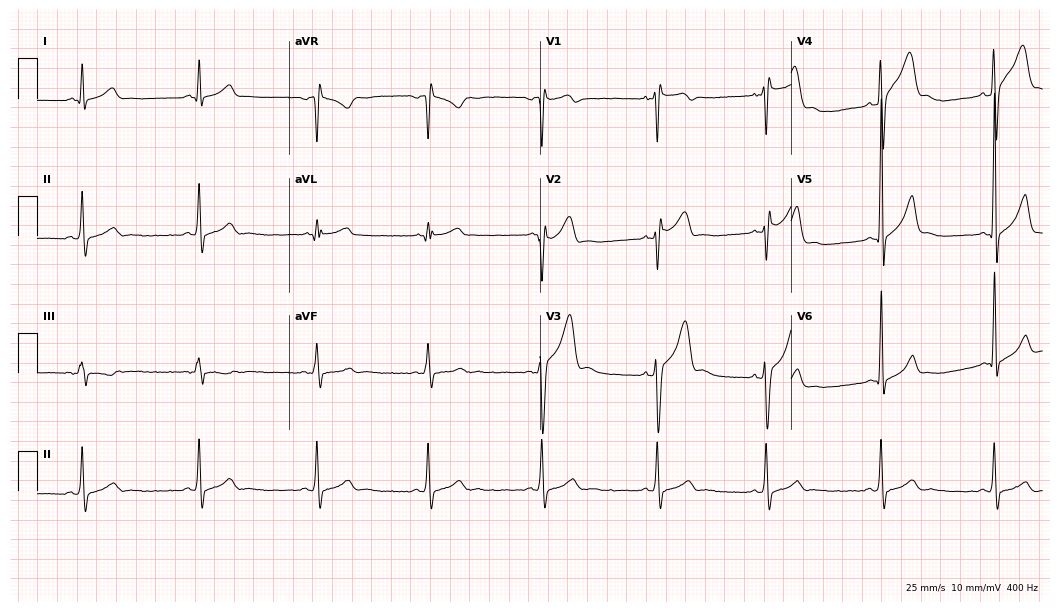
ECG — a male patient, 19 years old. Screened for six findings — first-degree AV block, right bundle branch block, left bundle branch block, sinus bradycardia, atrial fibrillation, sinus tachycardia — none is recorded.